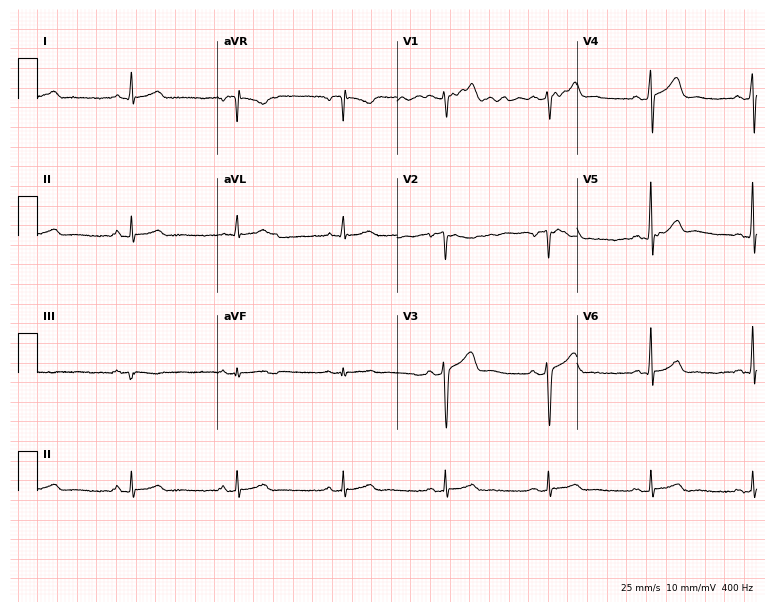
Standard 12-lead ECG recorded from a 35-year-old man (7.3-second recording at 400 Hz). None of these six findings is recorded: first-degree AV block, right bundle branch block, left bundle branch block, sinus bradycardia, atrial fibrillation, sinus tachycardia. Other findings, if any, are not listed.